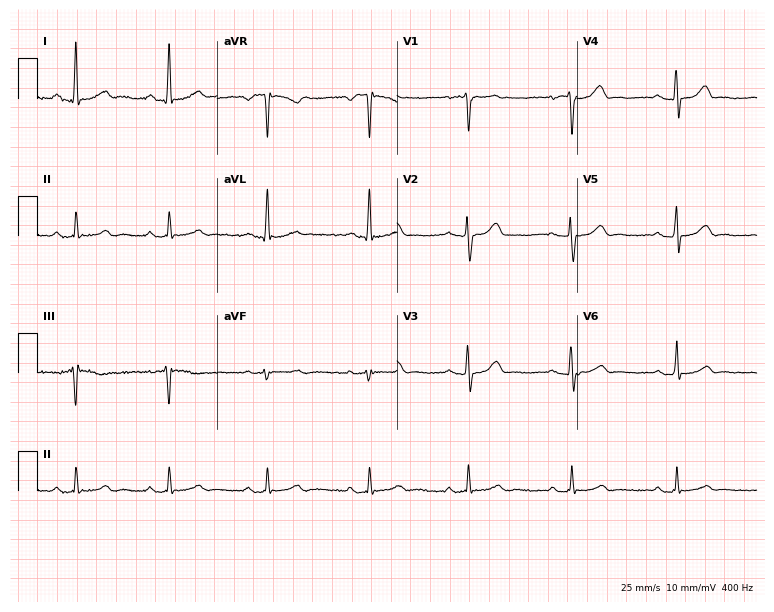
Electrocardiogram, a female, 61 years old. Overall reading on record: normal ECG.